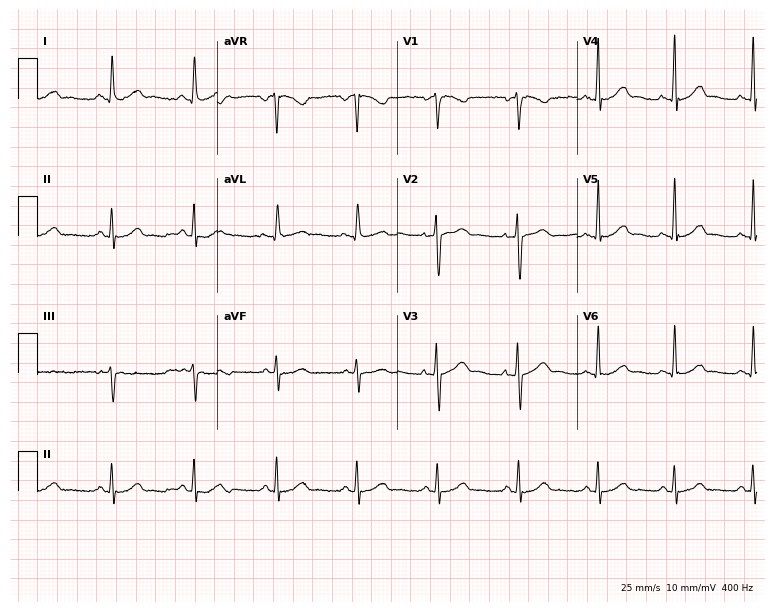
12-lead ECG (7.3-second recording at 400 Hz) from a woman, 37 years old. Labelled as a normal ECG.